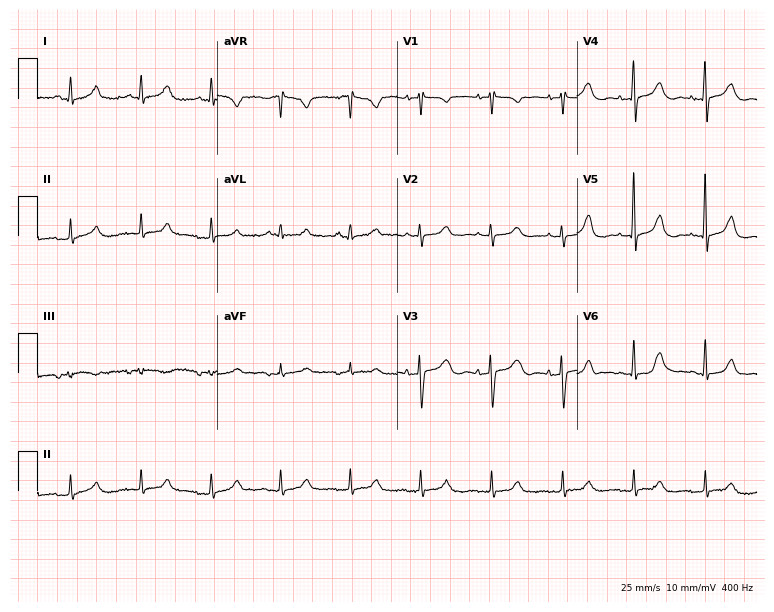
Resting 12-lead electrocardiogram. Patient: a female, 73 years old. None of these six findings is recorded: first-degree AV block, right bundle branch block, left bundle branch block, sinus bradycardia, atrial fibrillation, sinus tachycardia.